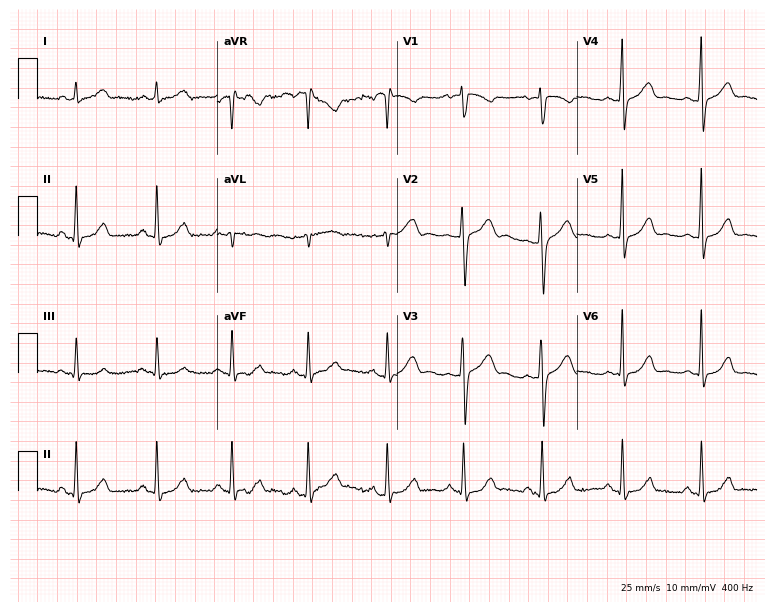
Electrocardiogram (7.3-second recording at 400 Hz), a 31-year-old female. Of the six screened findings (first-degree AV block, right bundle branch block, left bundle branch block, sinus bradycardia, atrial fibrillation, sinus tachycardia), none is recorded.